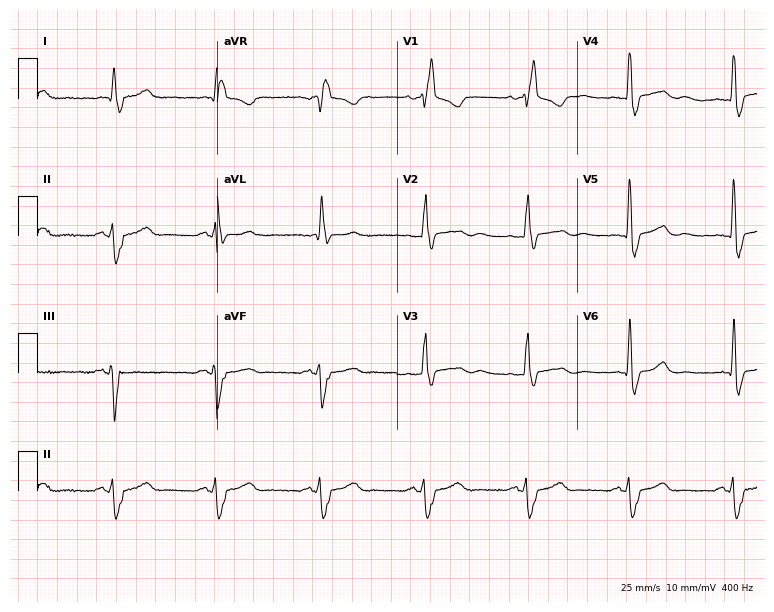
Electrocardiogram, a 74-year-old man. Interpretation includes right bundle branch block.